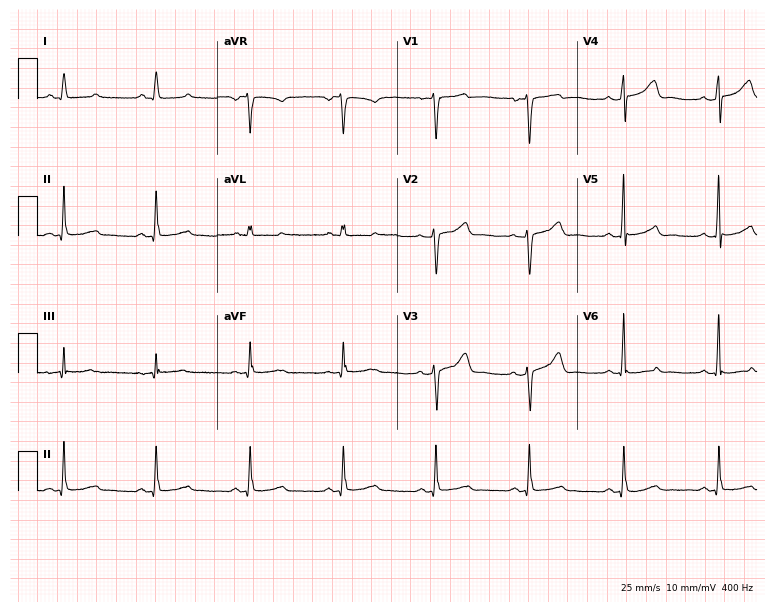
12-lead ECG from a 48-year-old female. Recorded interpretation: within normal limits.